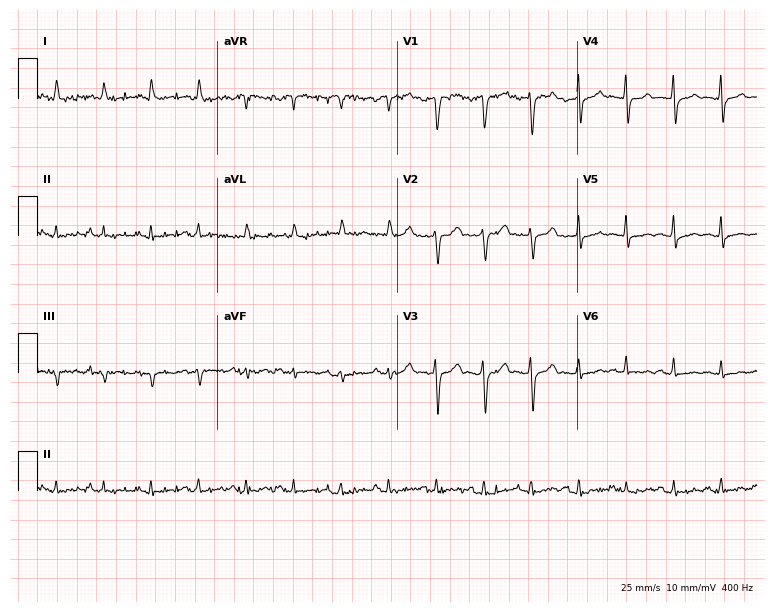
12-lead ECG from a 61-year-old male (7.3-second recording at 400 Hz). Shows sinus tachycardia (a sinus rate of 100 beats per minute or more).